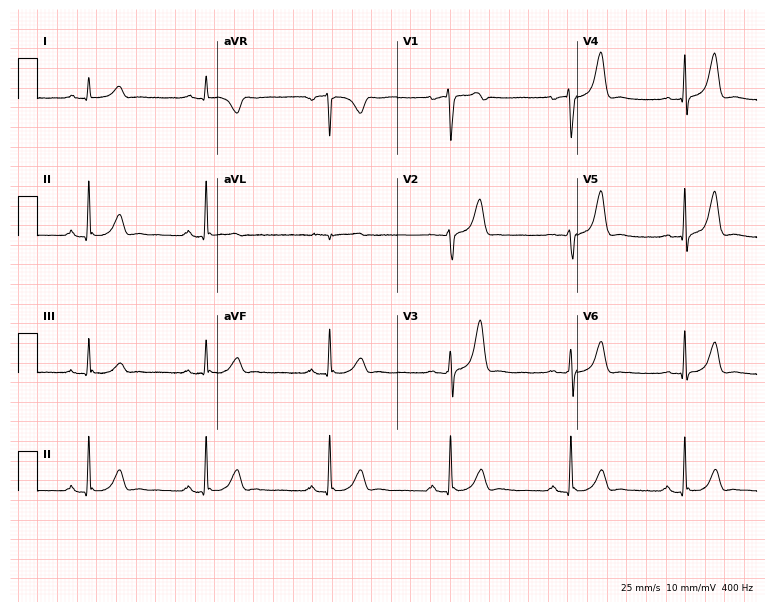
ECG — a 38-year-old male patient. Findings include sinus bradycardia (a sinus rate of 50 beats per minute or less).